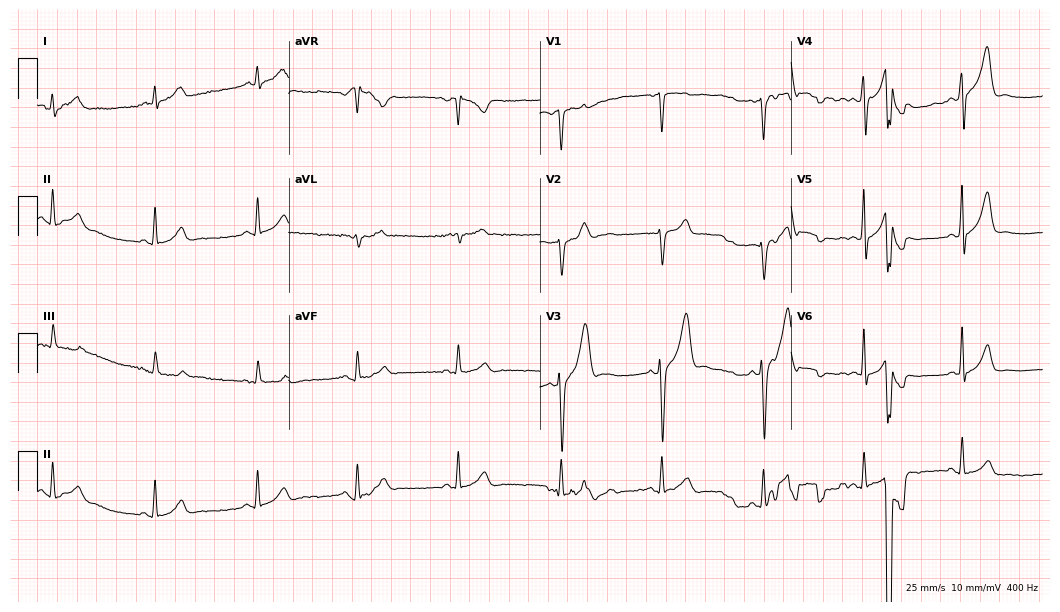
12-lead ECG (10.2-second recording at 400 Hz) from a male, 48 years old. Labelled as a normal ECG.